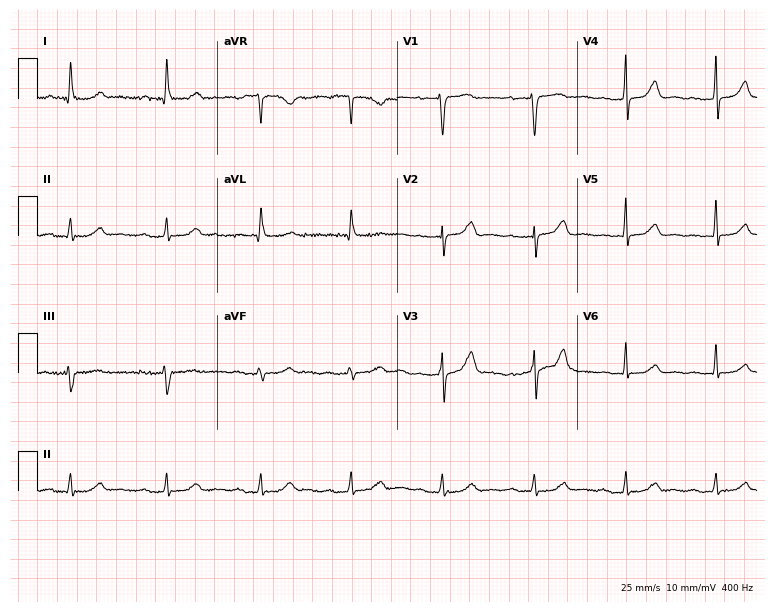
Electrocardiogram, a 50-year-old female patient. Interpretation includes first-degree AV block.